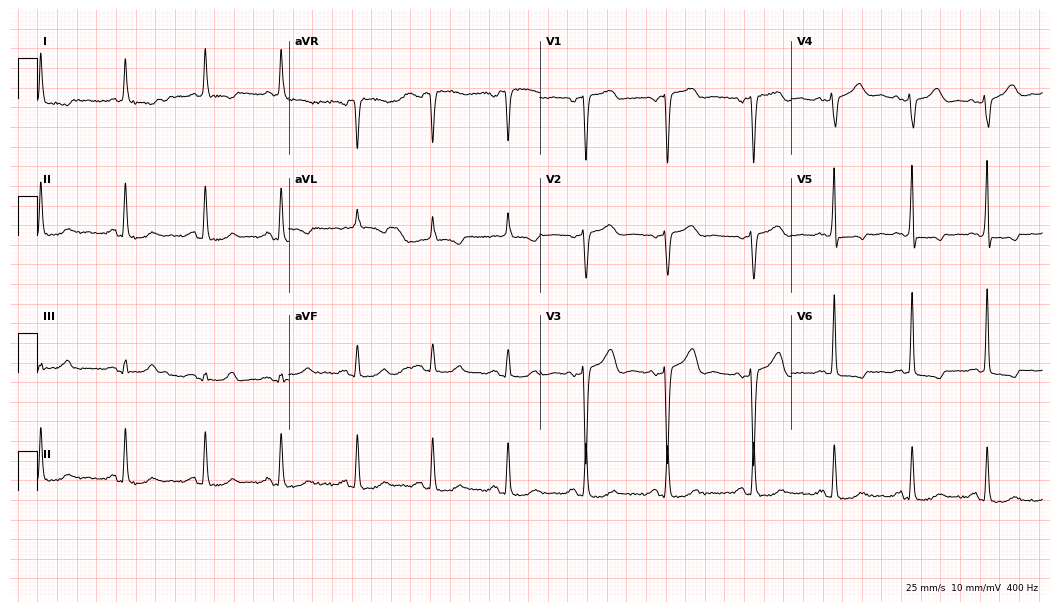
Electrocardiogram (10.2-second recording at 400 Hz), a woman, 76 years old. Of the six screened findings (first-degree AV block, right bundle branch block (RBBB), left bundle branch block (LBBB), sinus bradycardia, atrial fibrillation (AF), sinus tachycardia), none is recorded. Only these six findings were labelled.